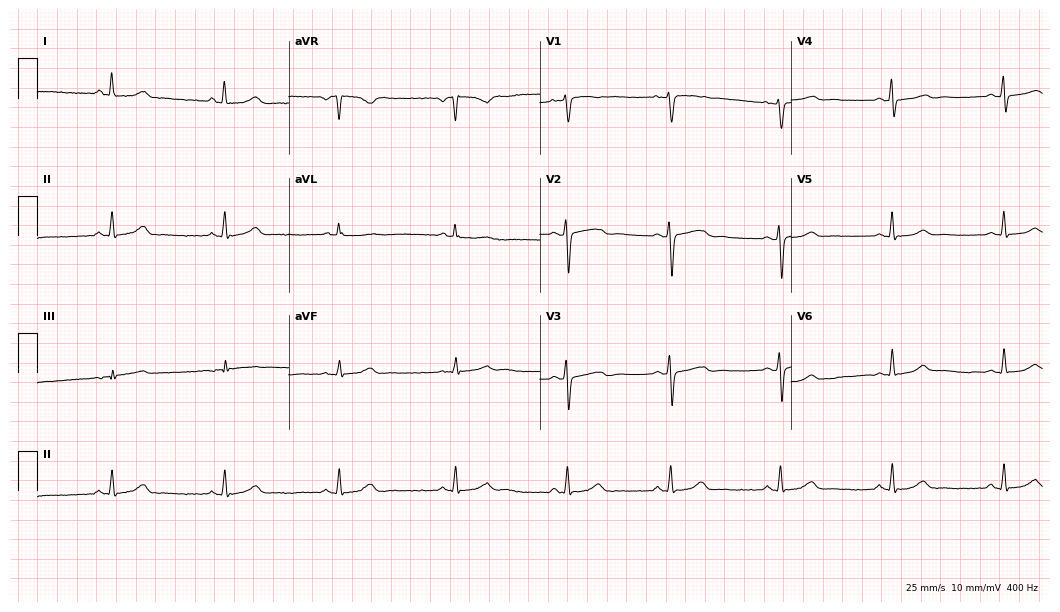
ECG (10.2-second recording at 400 Hz) — a 42-year-old female. Labelled as a normal ECG.